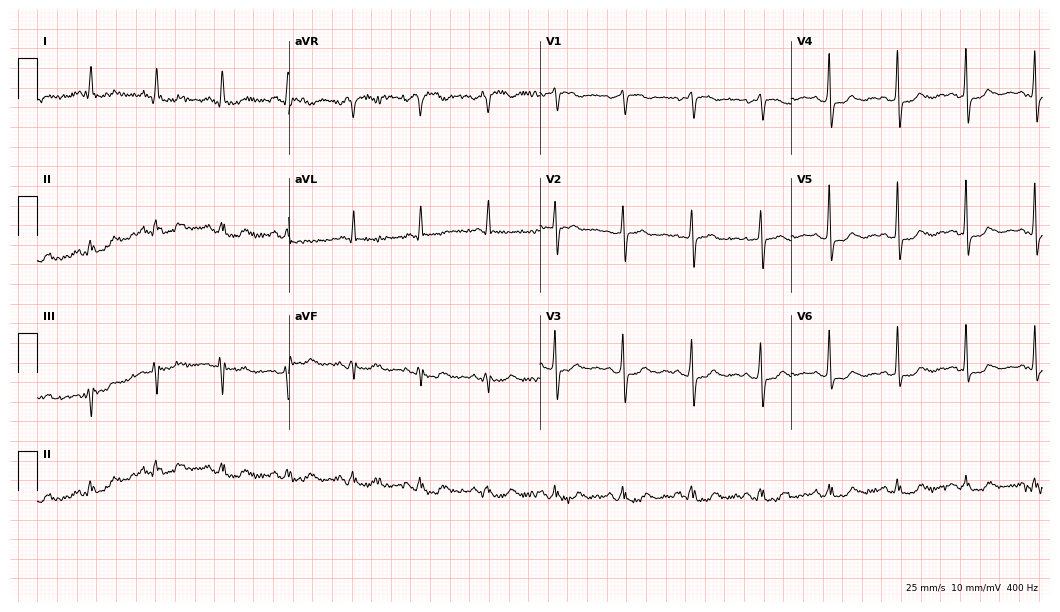
Electrocardiogram (10.2-second recording at 400 Hz), a woman, 74 years old. Of the six screened findings (first-degree AV block, right bundle branch block, left bundle branch block, sinus bradycardia, atrial fibrillation, sinus tachycardia), none is recorded.